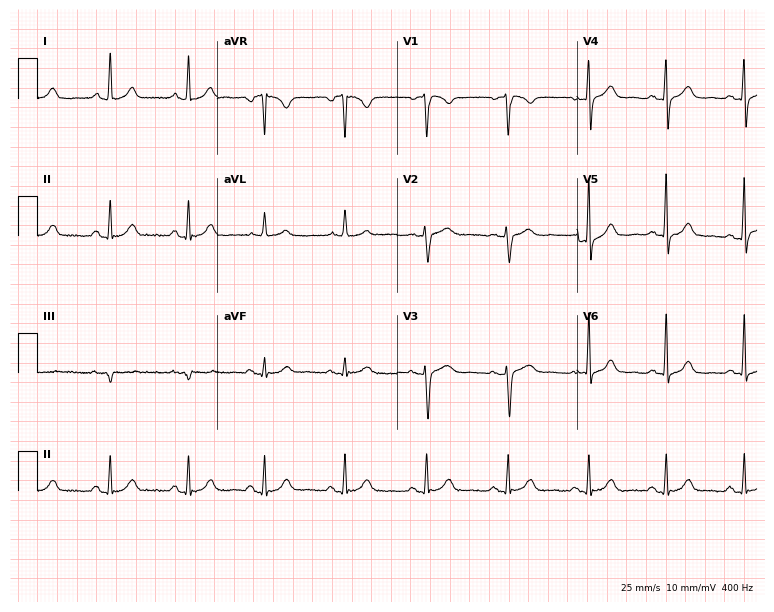
12-lead ECG from a female, 52 years old. Labelled as a normal ECG.